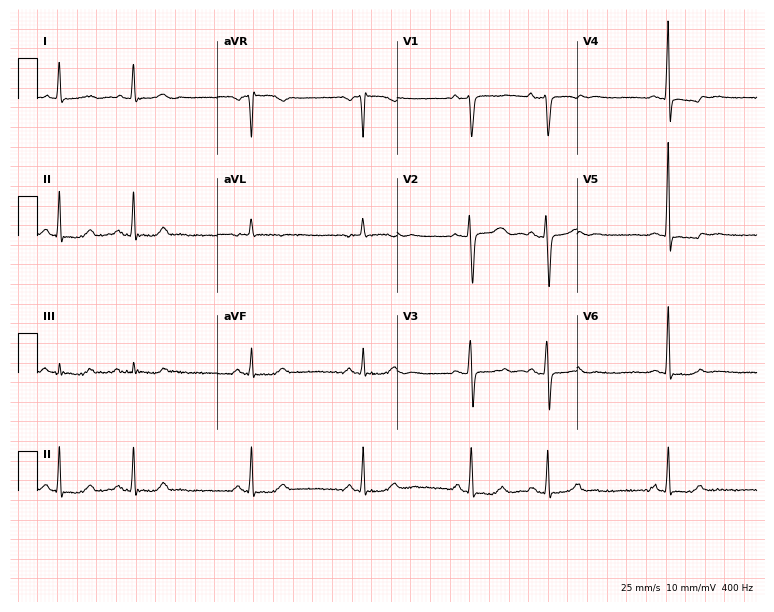
ECG — a 56-year-old woman. Screened for six findings — first-degree AV block, right bundle branch block, left bundle branch block, sinus bradycardia, atrial fibrillation, sinus tachycardia — none is recorded.